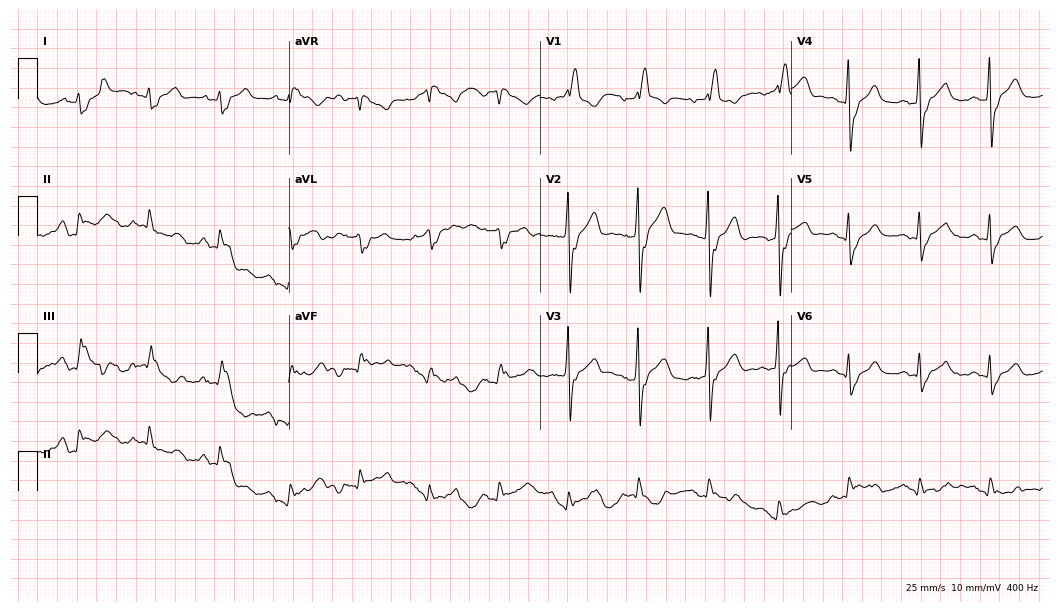
12-lead ECG from a female, 65 years old. Findings include right bundle branch block (RBBB).